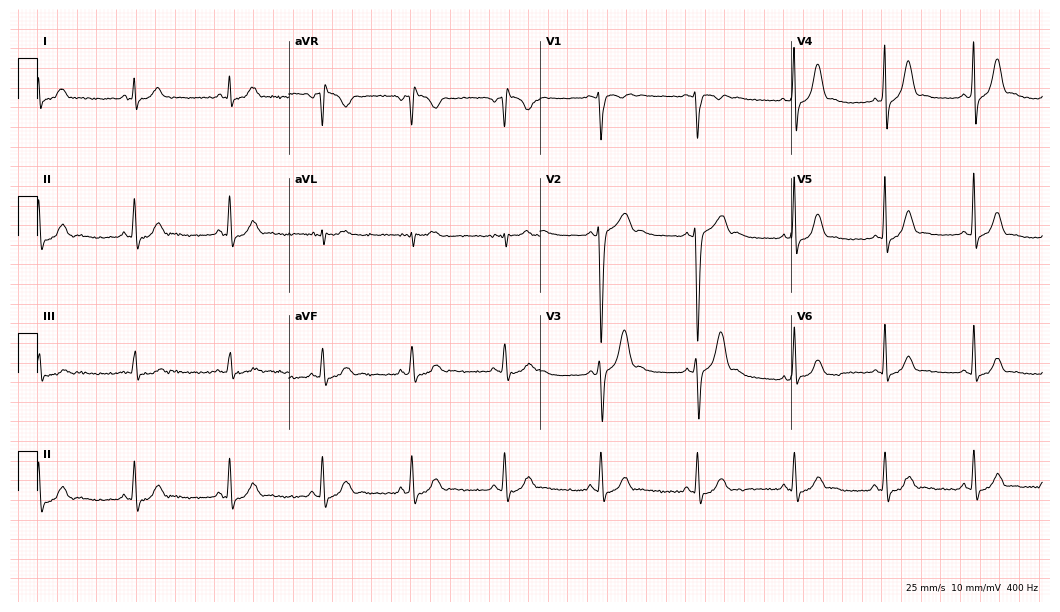
ECG — a 24-year-old male patient. Labelled as a normal ECG.